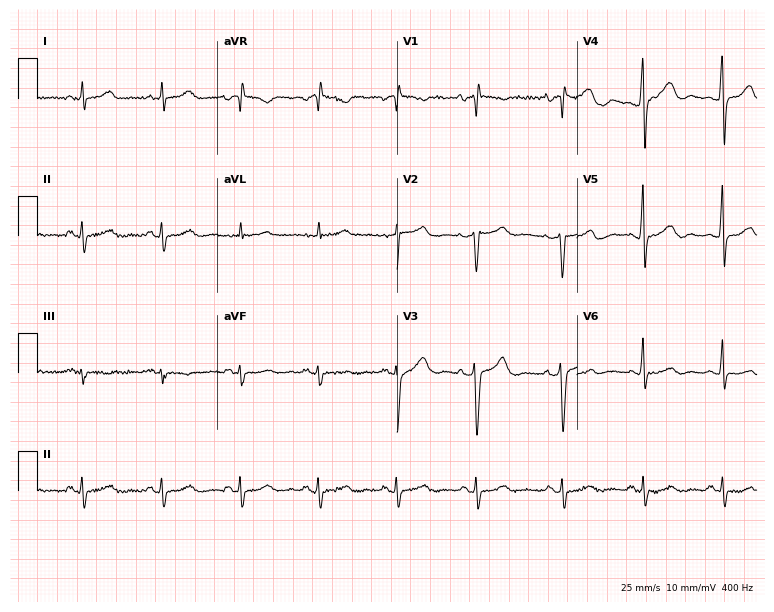
Standard 12-lead ECG recorded from a 72-year-old man (7.3-second recording at 400 Hz). Read as a normal ECG.